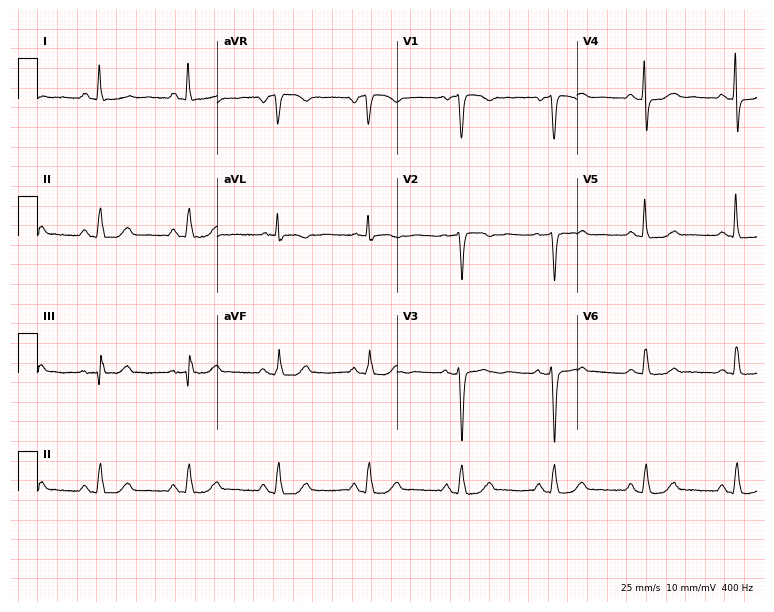
Resting 12-lead electrocardiogram (7.3-second recording at 400 Hz). Patient: a 59-year-old female. None of these six findings is recorded: first-degree AV block, right bundle branch block, left bundle branch block, sinus bradycardia, atrial fibrillation, sinus tachycardia. Only these six findings were labelled.